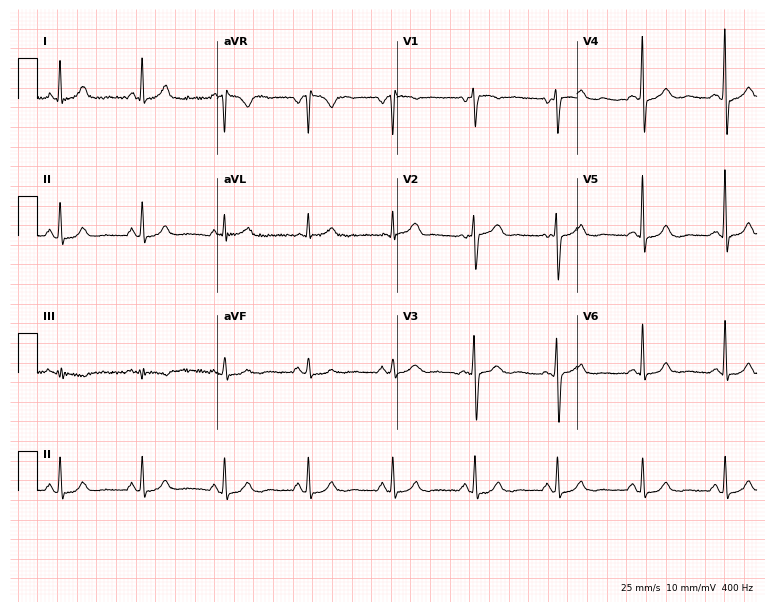
Resting 12-lead electrocardiogram (7.3-second recording at 400 Hz). Patient: a female, 56 years old. Read as a normal ECG.